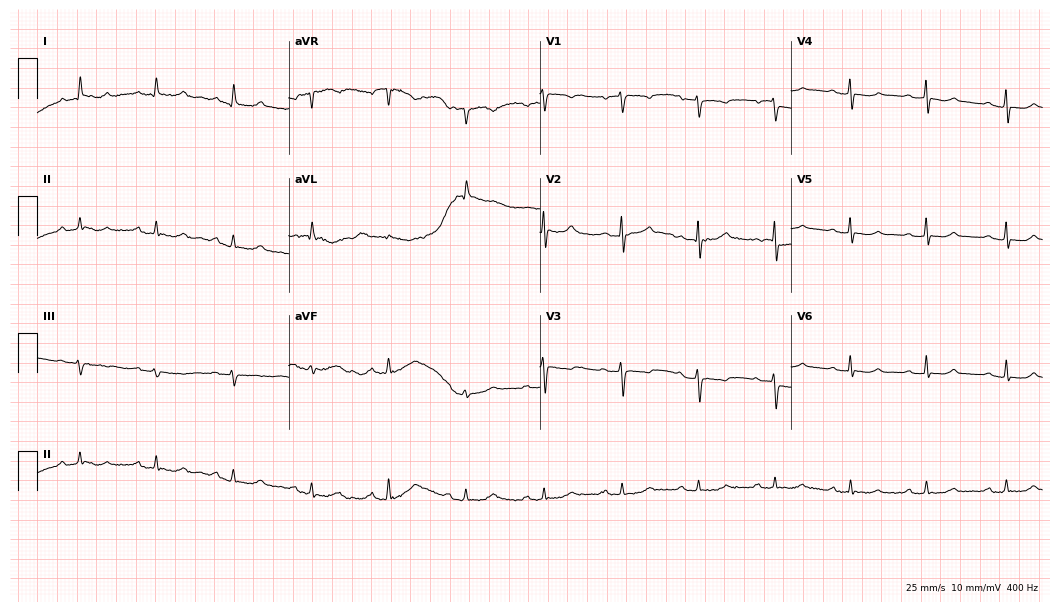
Electrocardiogram, a woman, 56 years old. Overall reading on record: normal ECG.